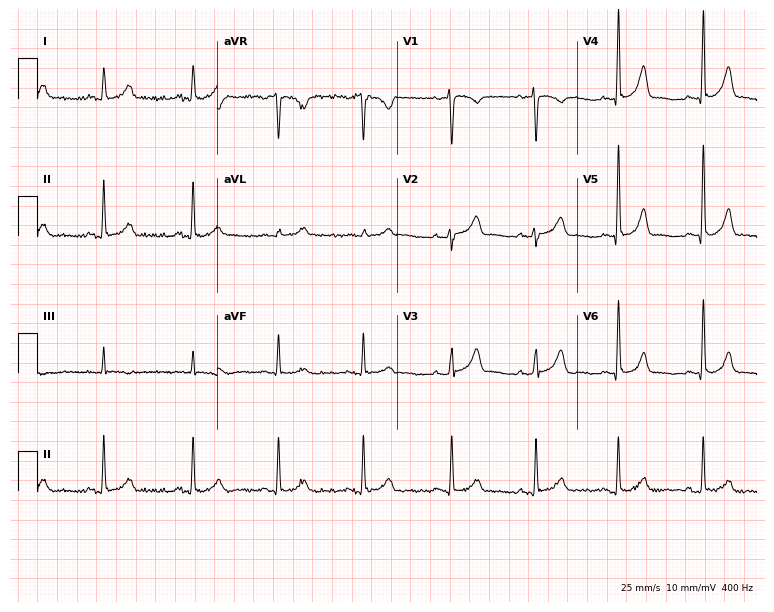
Standard 12-lead ECG recorded from a 38-year-old woman. Read as a normal ECG.